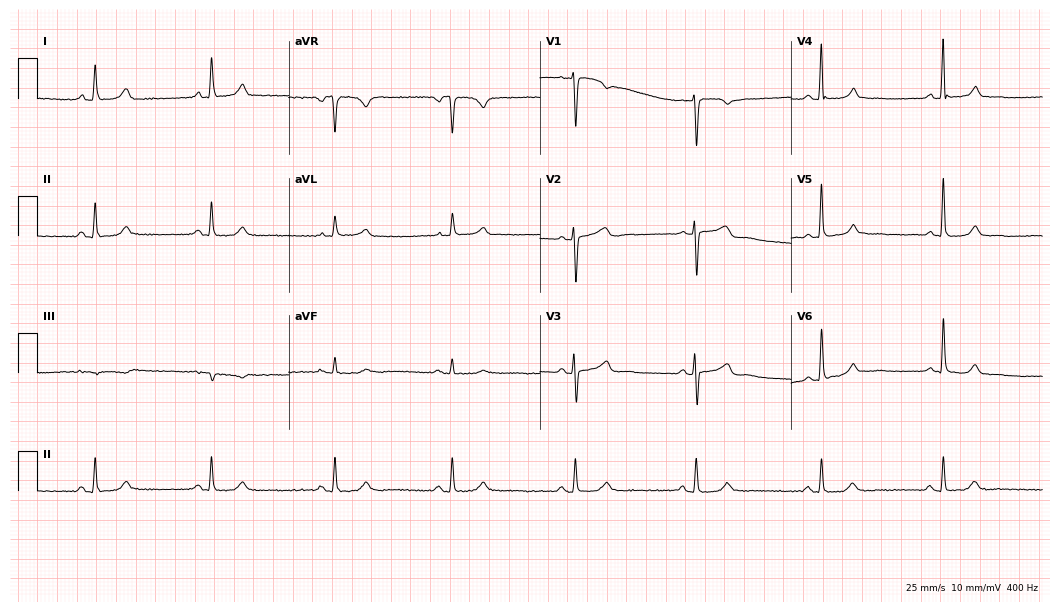
12-lead ECG from a 60-year-old female. Labelled as a normal ECG.